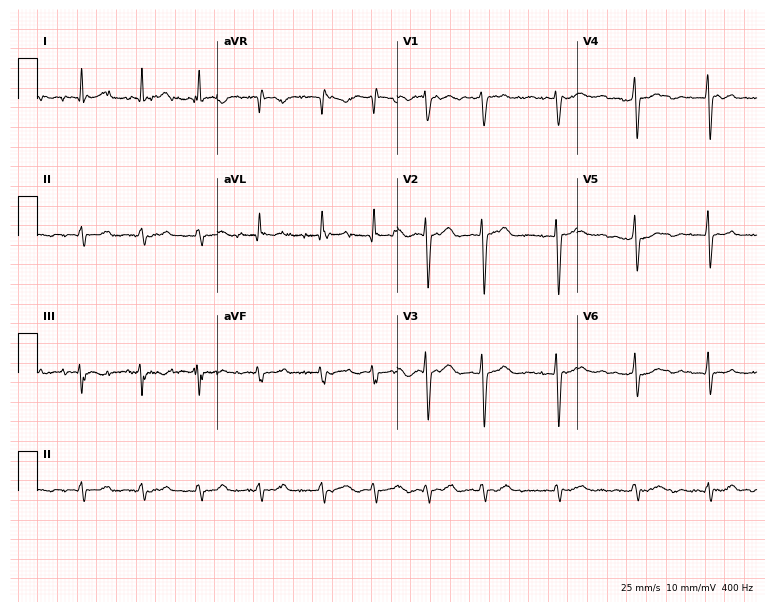
Standard 12-lead ECG recorded from a 78-year-old male (7.3-second recording at 400 Hz). The tracing shows atrial fibrillation (AF).